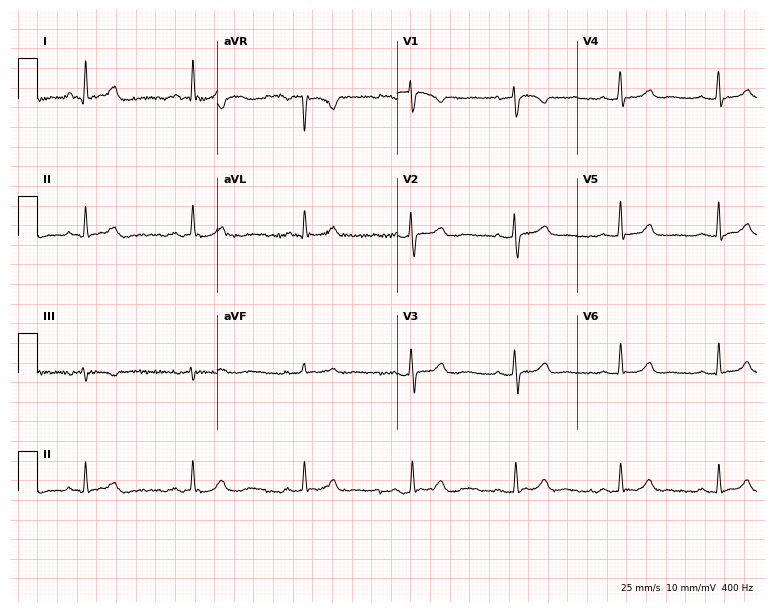
12-lead ECG (7.3-second recording at 400 Hz) from a female patient, 52 years old. Labelled as a normal ECG.